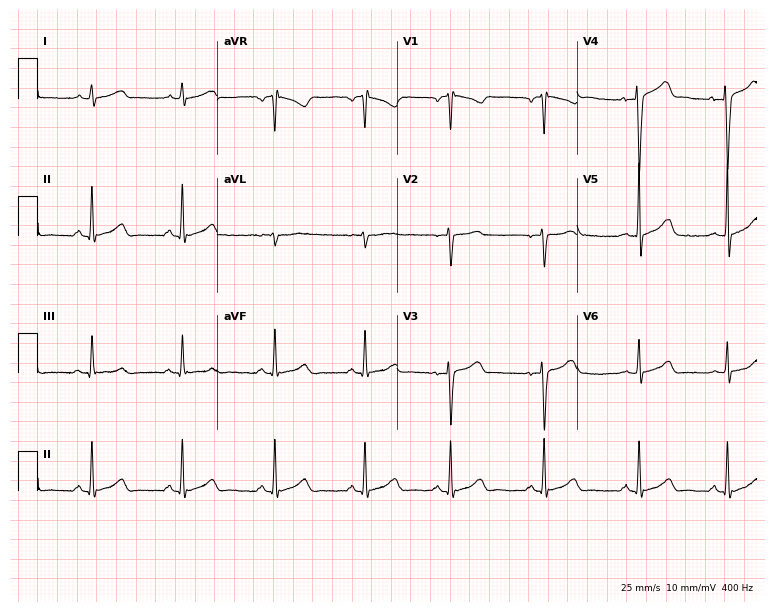
Electrocardiogram (7.3-second recording at 400 Hz), a female, 21 years old. Overall reading on record: normal ECG.